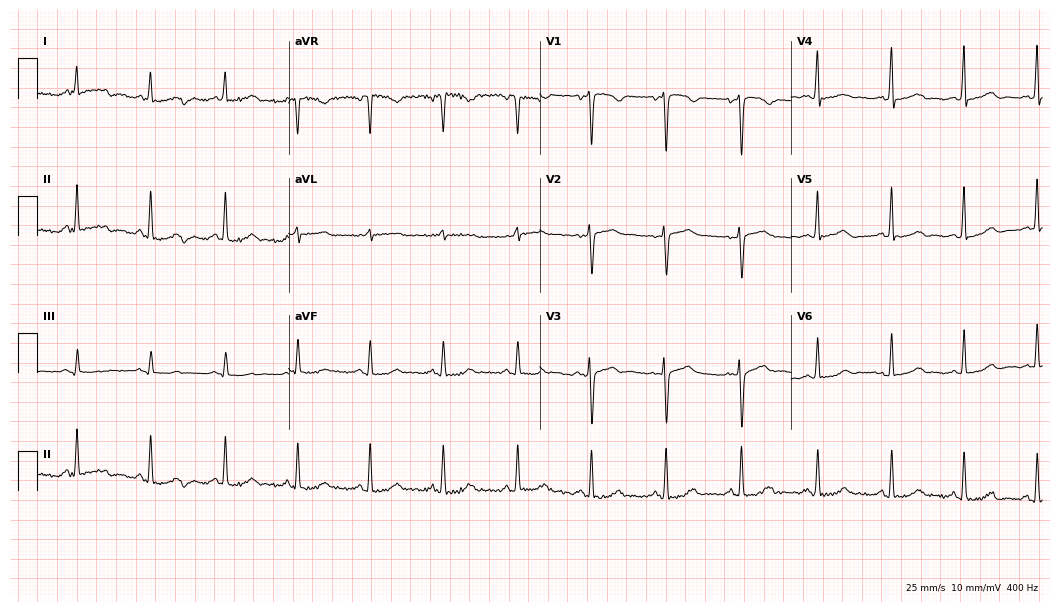
Standard 12-lead ECG recorded from a 50-year-old woman. Read as a normal ECG.